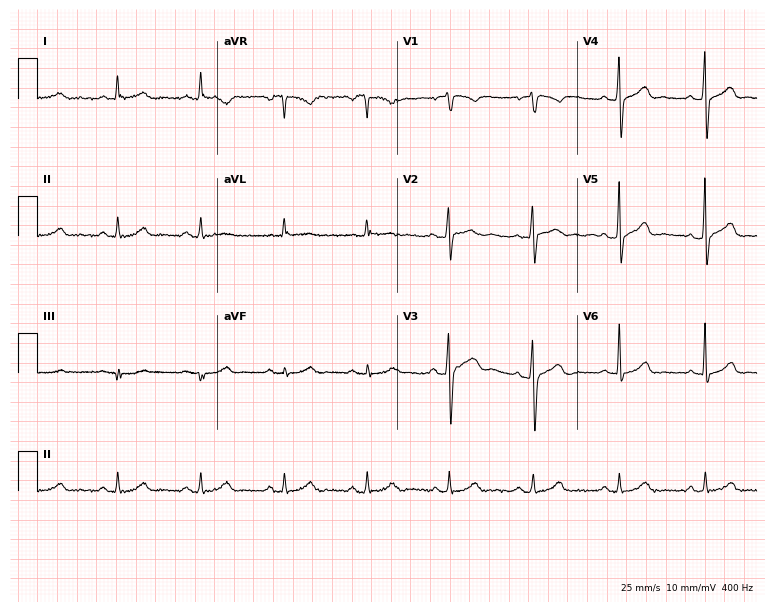
Resting 12-lead electrocardiogram (7.3-second recording at 400 Hz). Patient: a 44-year-old male. Read as a normal ECG.